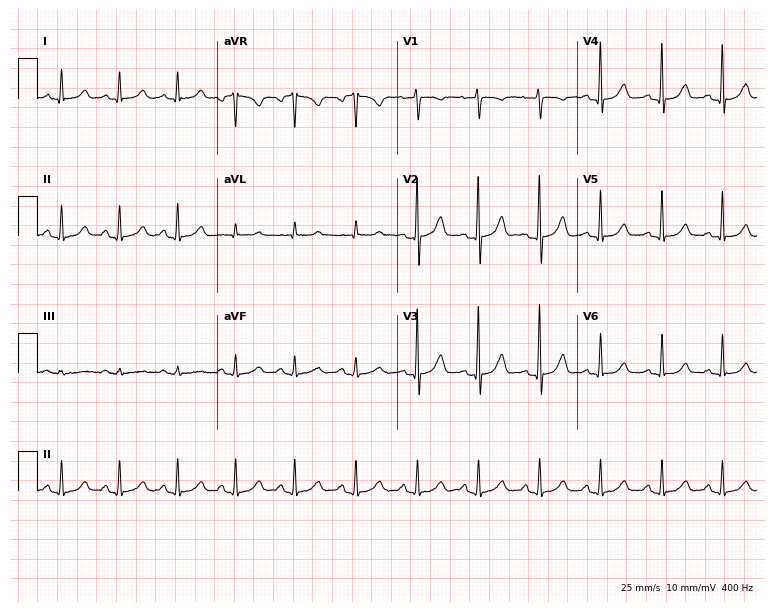
ECG (7.3-second recording at 400 Hz) — a 54-year-old female. Labelled as a normal ECG.